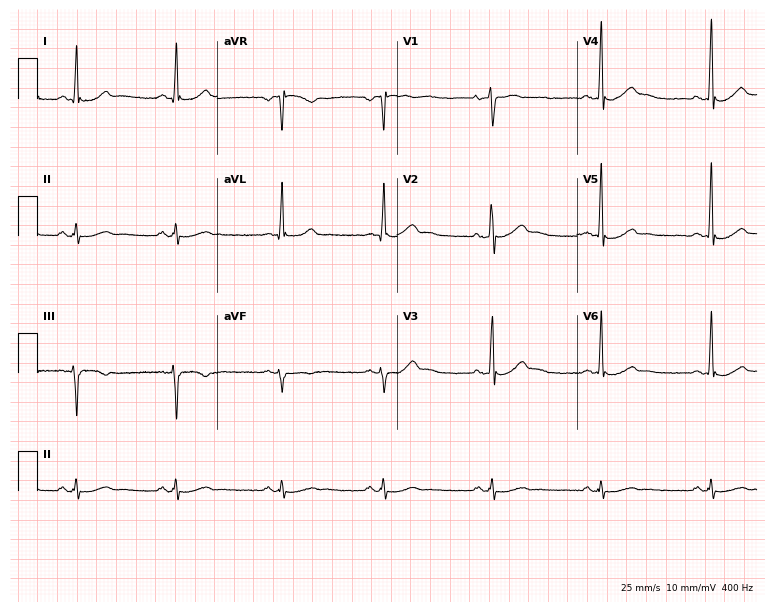
Electrocardiogram (7.3-second recording at 400 Hz), a man, 47 years old. Of the six screened findings (first-degree AV block, right bundle branch block, left bundle branch block, sinus bradycardia, atrial fibrillation, sinus tachycardia), none is recorded.